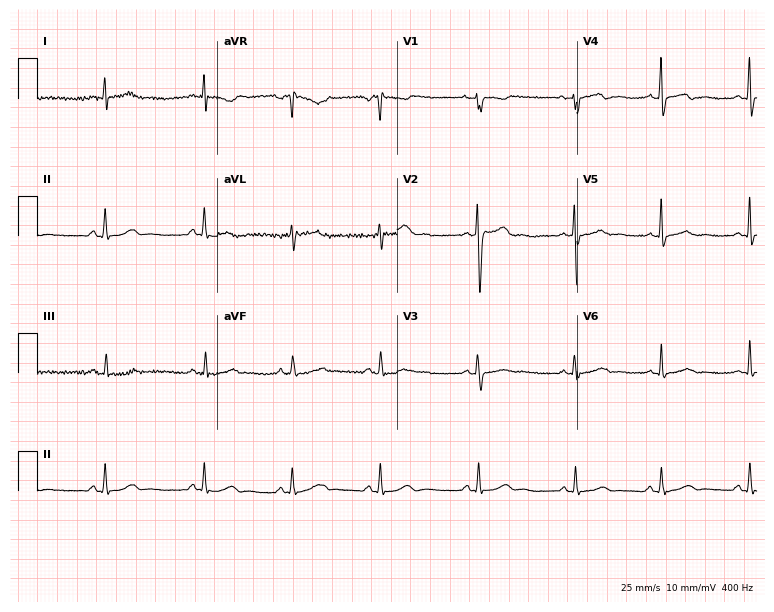
Standard 12-lead ECG recorded from a 27-year-old female patient (7.3-second recording at 400 Hz). None of these six findings is recorded: first-degree AV block, right bundle branch block (RBBB), left bundle branch block (LBBB), sinus bradycardia, atrial fibrillation (AF), sinus tachycardia.